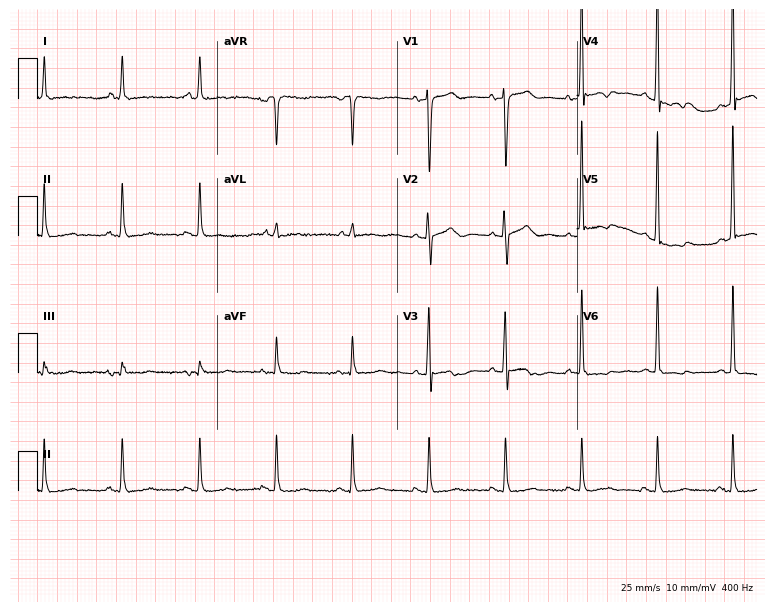
Electrocardiogram (7.3-second recording at 400 Hz), a female patient, 71 years old. Of the six screened findings (first-degree AV block, right bundle branch block, left bundle branch block, sinus bradycardia, atrial fibrillation, sinus tachycardia), none is recorded. Only these six findings were labelled.